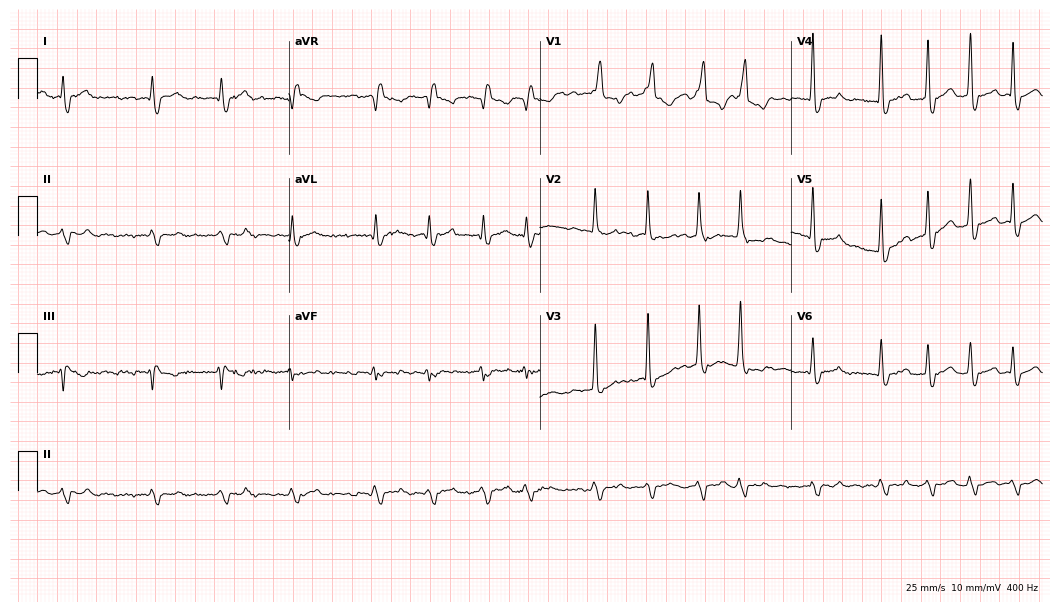
Electrocardiogram (10.2-second recording at 400 Hz), a 64-year-old male. Interpretation includes right bundle branch block, atrial fibrillation.